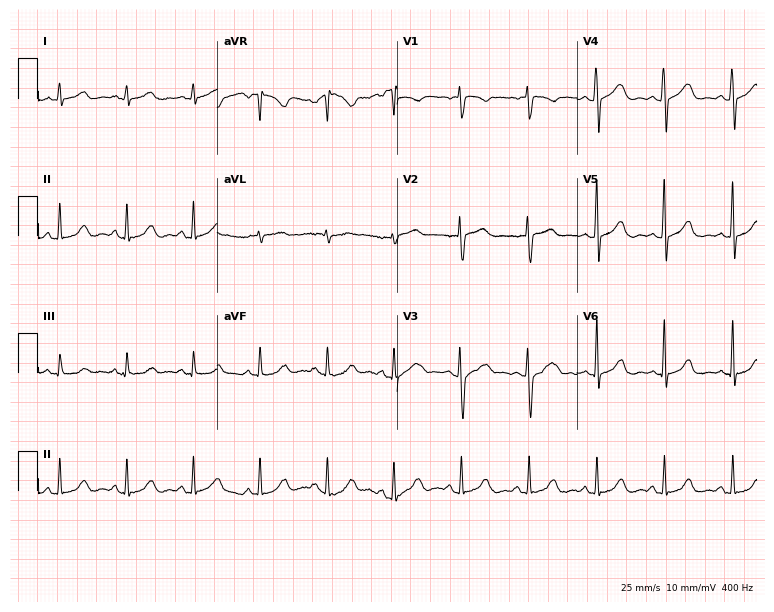
Electrocardiogram (7.3-second recording at 400 Hz), a man, 28 years old. Overall reading on record: normal ECG.